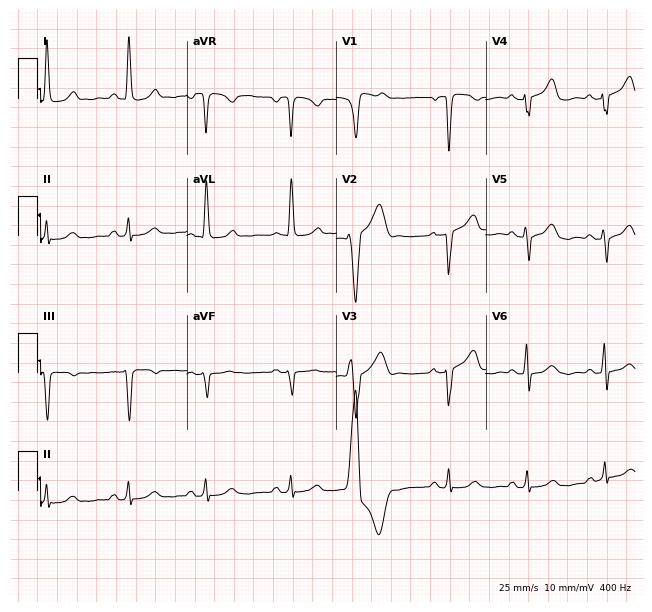
12-lead ECG (6.1-second recording at 400 Hz) from a female patient, 70 years old. Screened for six findings — first-degree AV block, right bundle branch block (RBBB), left bundle branch block (LBBB), sinus bradycardia, atrial fibrillation (AF), sinus tachycardia — none is recorded.